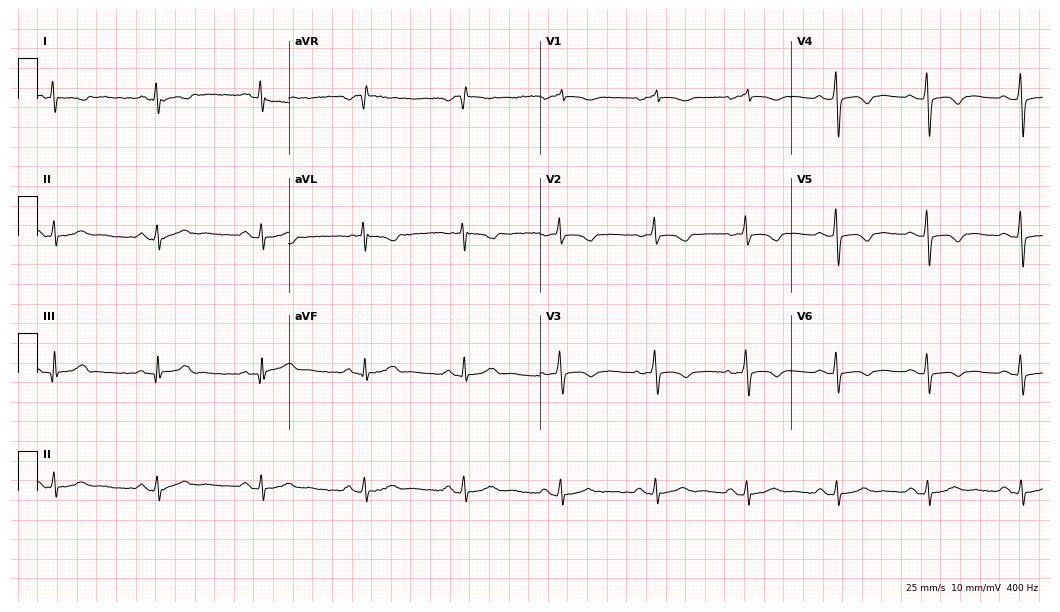
12-lead ECG from a 69-year-old woman. Screened for six findings — first-degree AV block, right bundle branch block, left bundle branch block, sinus bradycardia, atrial fibrillation, sinus tachycardia — none is recorded. Other findings, if any, are not listed.